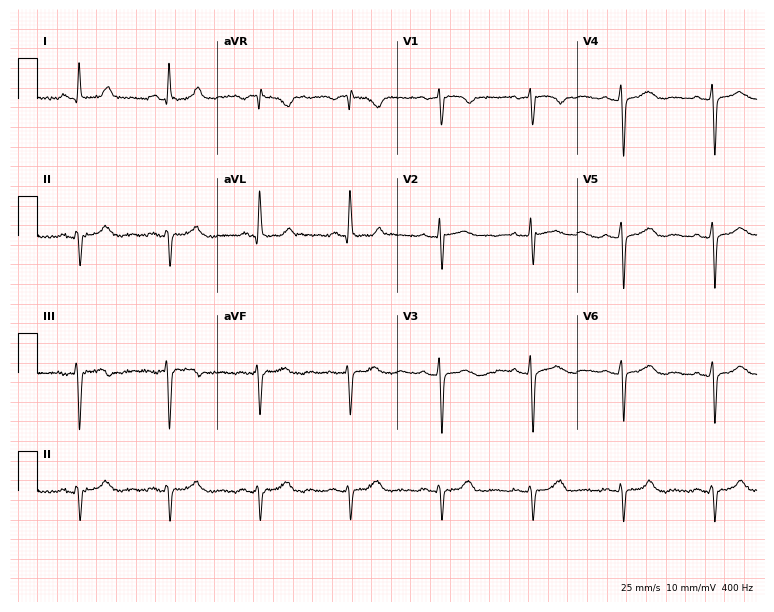
ECG — a 66-year-old woman. Screened for six findings — first-degree AV block, right bundle branch block, left bundle branch block, sinus bradycardia, atrial fibrillation, sinus tachycardia — none is recorded. Other findings, if any, are not listed.